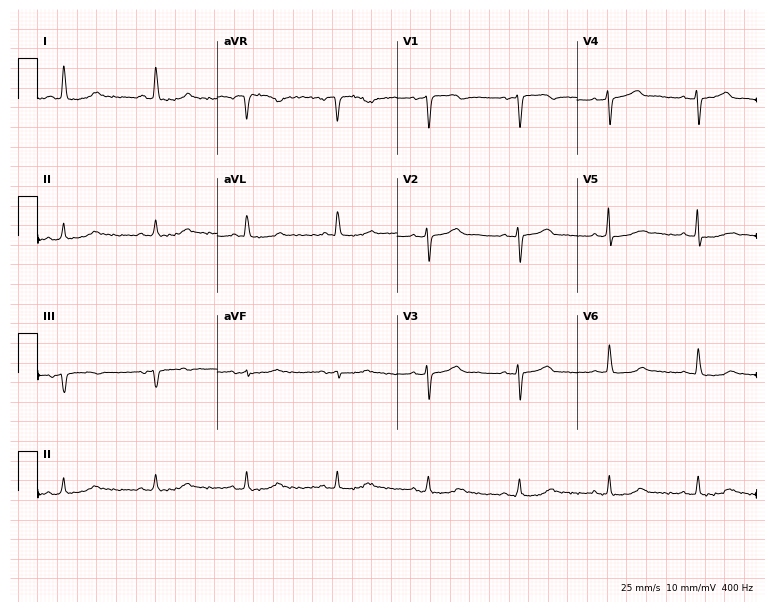
Standard 12-lead ECG recorded from a 72-year-old female patient (7.3-second recording at 400 Hz). None of these six findings is recorded: first-degree AV block, right bundle branch block (RBBB), left bundle branch block (LBBB), sinus bradycardia, atrial fibrillation (AF), sinus tachycardia. Findings outside these six are not listed.